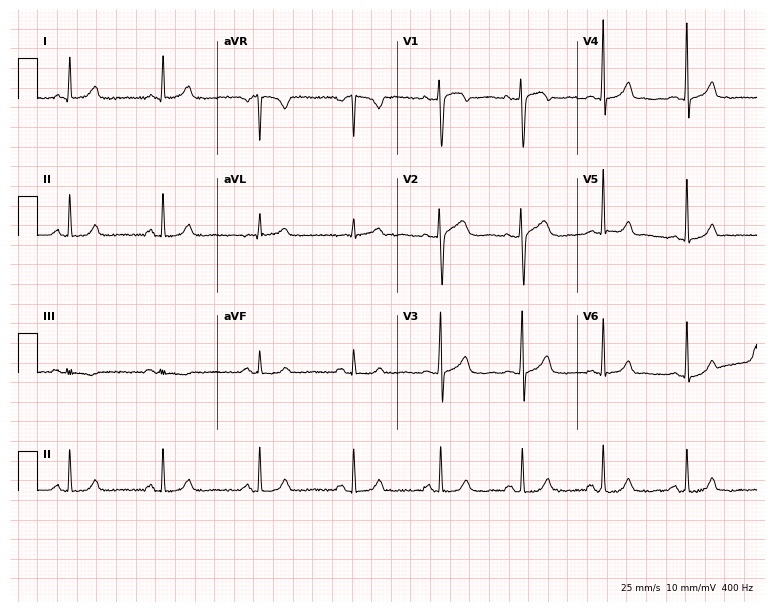
Standard 12-lead ECG recorded from a woman, 52 years old (7.3-second recording at 400 Hz). None of these six findings is recorded: first-degree AV block, right bundle branch block, left bundle branch block, sinus bradycardia, atrial fibrillation, sinus tachycardia.